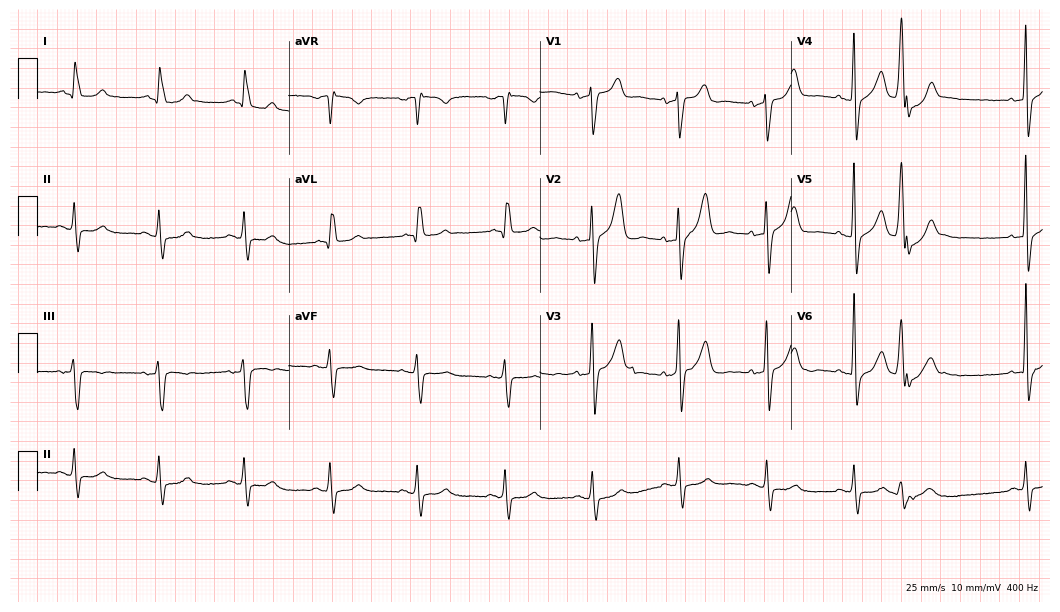
ECG — an 86-year-old man. Screened for six findings — first-degree AV block, right bundle branch block (RBBB), left bundle branch block (LBBB), sinus bradycardia, atrial fibrillation (AF), sinus tachycardia — none is recorded.